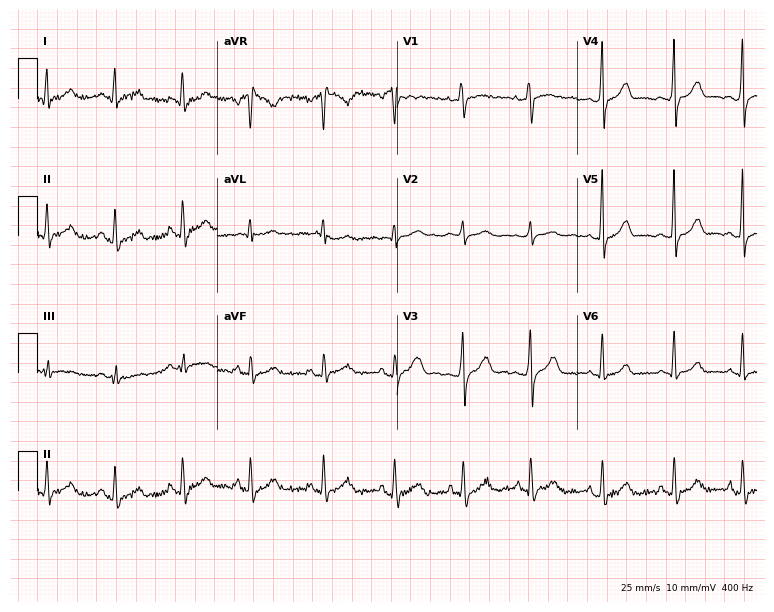
Resting 12-lead electrocardiogram (7.3-second recording at 400 Hz). Patient: a woman, 29 years old. Read as a normal ECG.